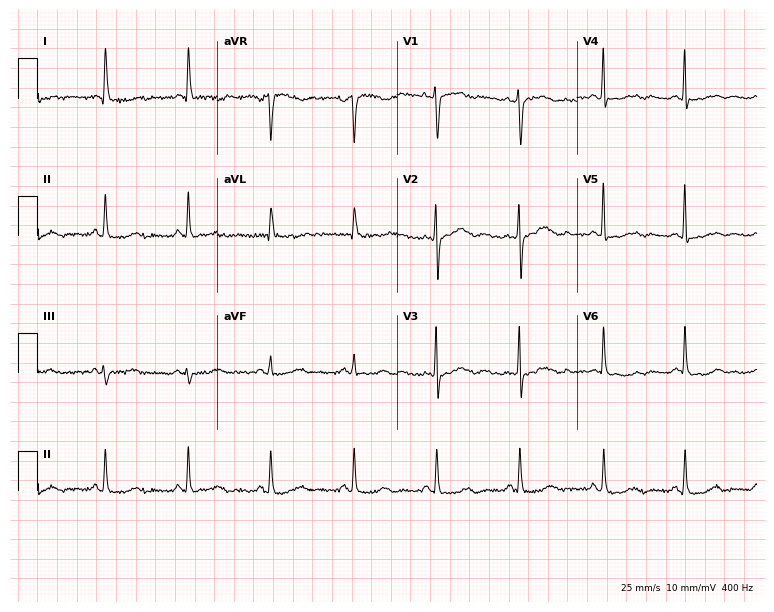
Standard 12-lead ECG recorded from a female, 66 years old (7.3-second recording at 400 Hz). None of these six findings is recorded: first-degree AV block, right bundle branch block, left bundle branch block, sinus bradycardia, atrial fibrillation, sinus tachycardia. Only these six findings were labelled.